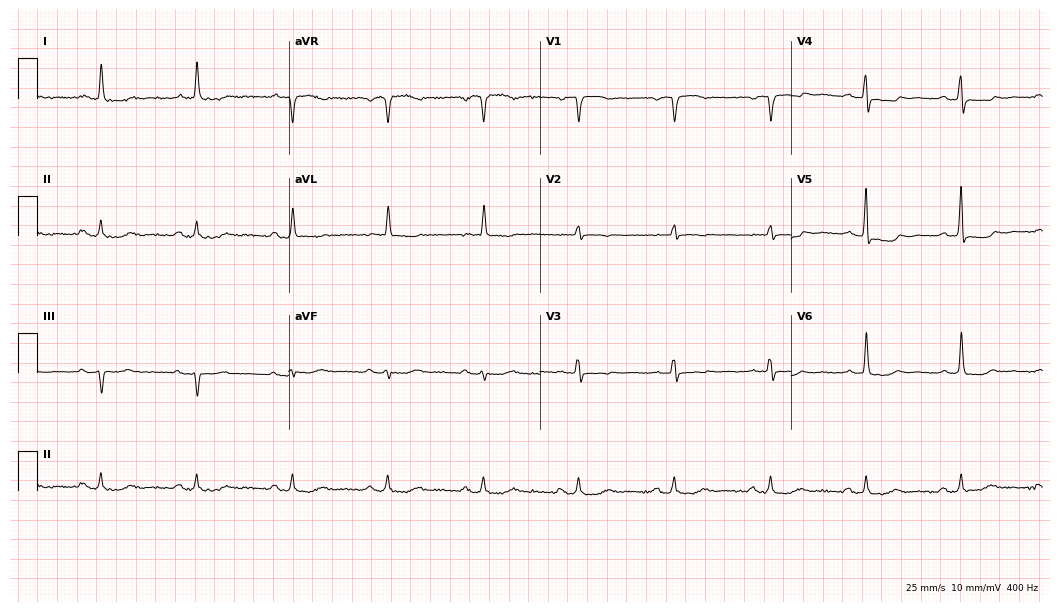
Standard 12-lead ECG recorded from a female patient, 70 years old (10.2-second recording at 400 Hz). None of these six findings is recorded: first-degree AV block, right bundle branch block (RBBB), left bundle branch block (LBBB), sinus bradycardia, atrial fibrillation (AF), sinus tachycardia.